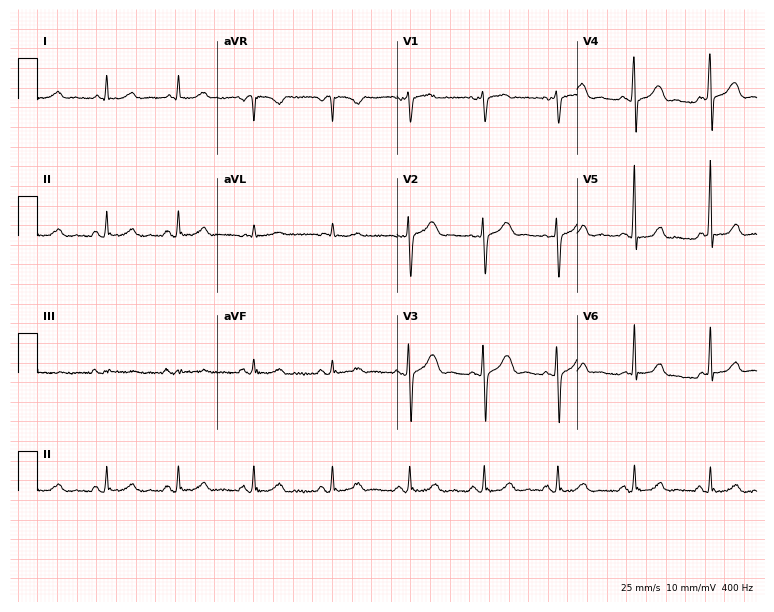
12-lead ECG from a woman, 53 years old (7.3-second recording at 400 Hz). No first-degree AV block, right bundle branch block, left bundle branch block, sinus bradycardia, atrial fibrillation or sinus tachycardia recorded for this tracing.